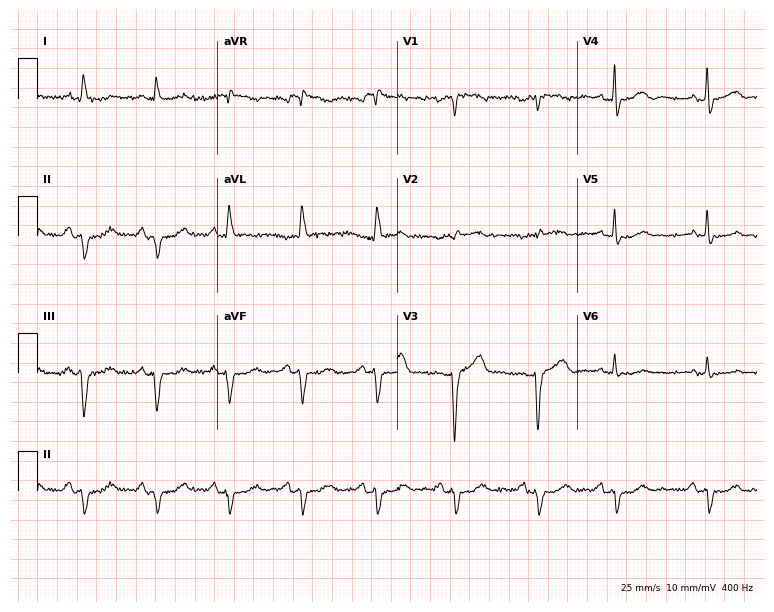
12-lead ECG from a 78-year-old female patient (7.3-second recording at 400 Hz). No first-degree AV block, right bundle branch block (RBBB), left bundle branch block (LBBB), sinus bradycardia, atrial fibrillation (AF) or sinus tachycardia recorded for this tracing.